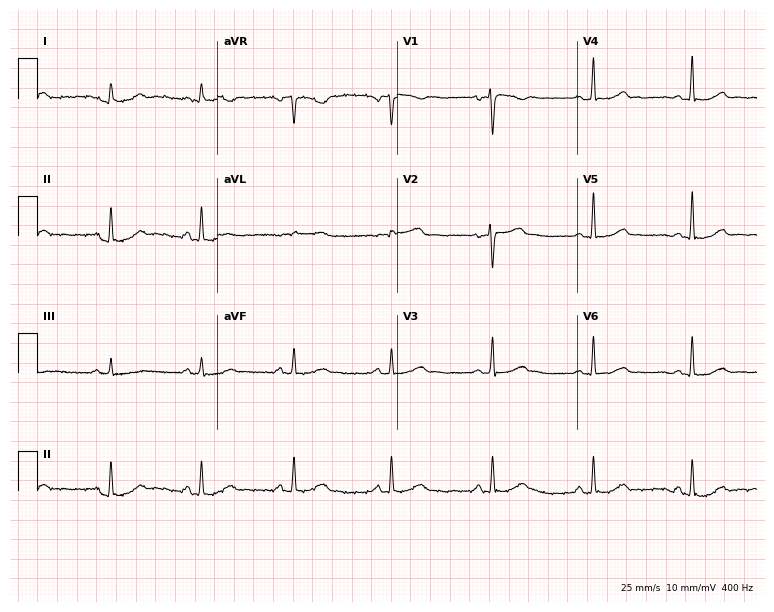
12-lead ECG from a 47-year-old female. Labelled as a normal ECG.